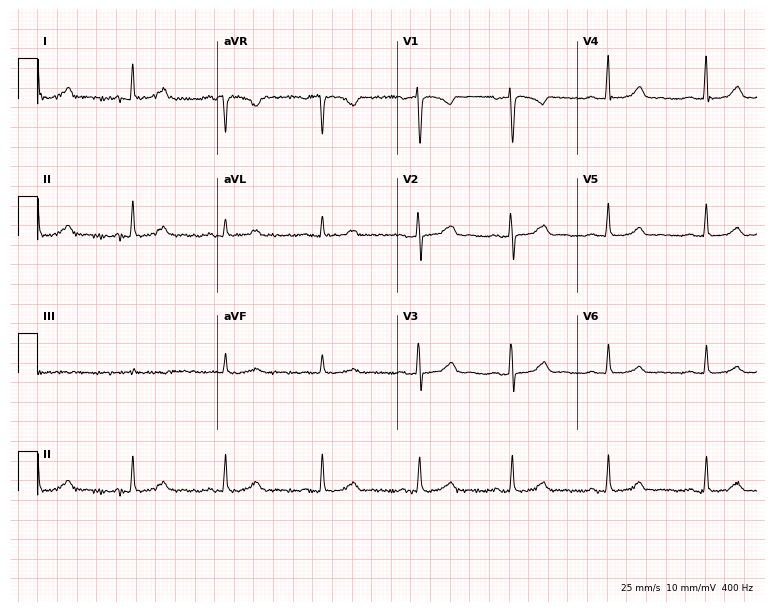
12-lead ECG from a 55-year-old woman. No first-degree AV block, right bundle branch block (RBBB), left bundle branch block (LBBB), sinus bradycardia, atrial fibrillation (AF) or sinus tachycardia recorded for this tracing. Other findings, if any, are not listed.